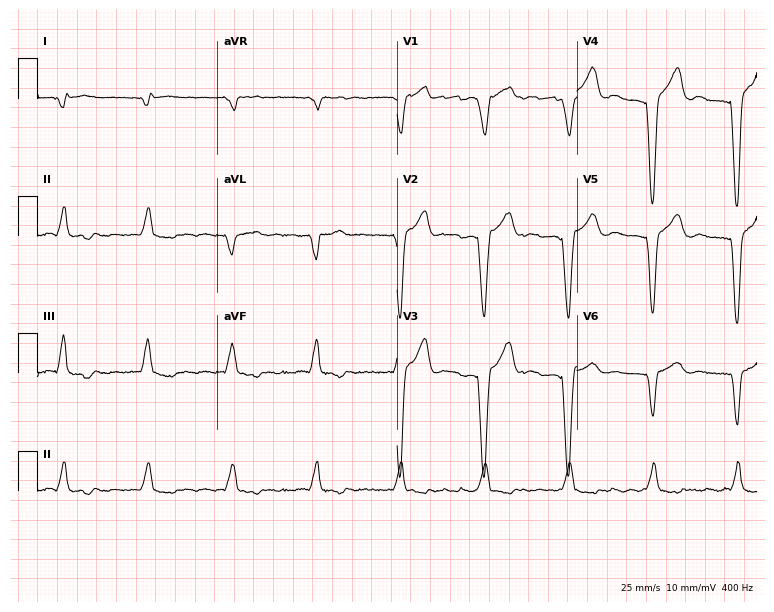
Standard 12-lead ECG recorded from a 74-year-old male (7.3-second recording at 400 Hz). None of these six findings is recorded: first-degree AV block, right bundle branch block, left bundle branch block, sinus bradycardia, atrial fibrillation, sinus tachycardia. Findings outside these six are not listed.